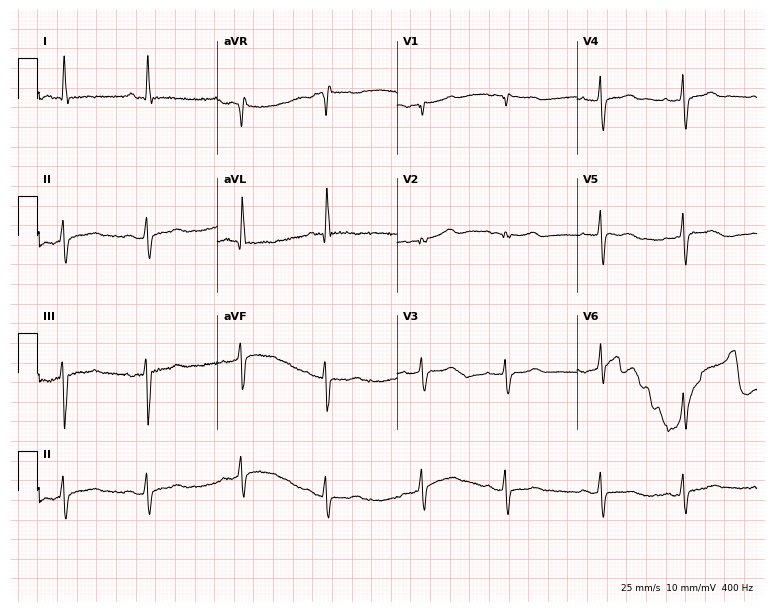
Standard 12-lead ECG recorded from a 66-year-old female (7.3-second recording at 400 Hz). None of these six findings is recorded: first-degree AV block, right bundle branch block, left bundle branch block, sinus bradycardia, atrial fibrillation, sinus tachycardia. Only these six findings were labelled.